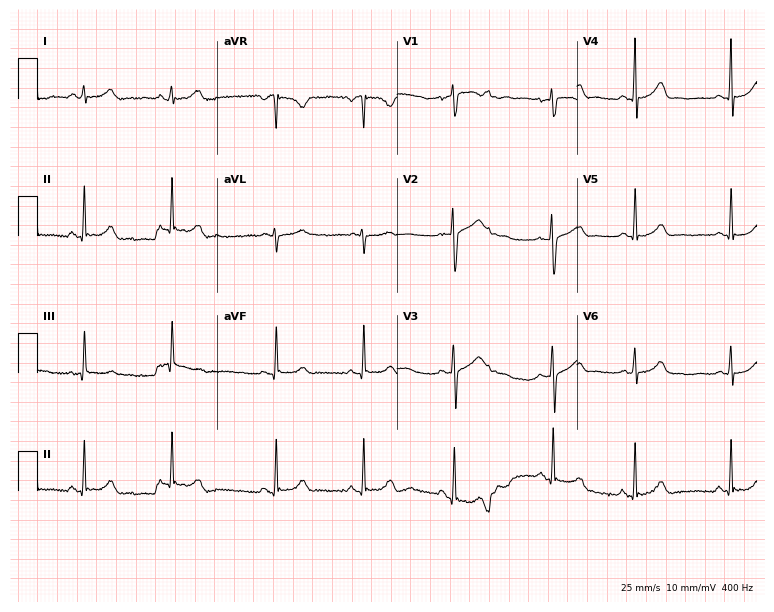
ECG (7.3-second recording at 400 Hz) — a female patient, 18 years old. Screened for six findings — first-degree AV block, right bundle branch block (RBBB), left bundle branch block (LBBB), sinus bradycardia, atrial fibrillation (AF), sinus tachycardia — none is recorded.